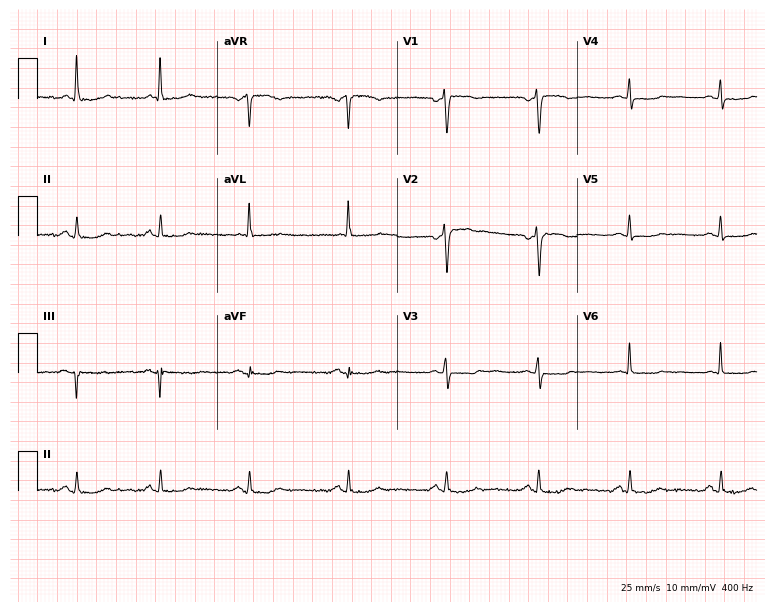
ECG (7.3-second recording at 400 Hz) — a woman, 58 years old. Screened for six findings — first-degree AV block, right bundle branch block, left bundle branch block, sinus bradycardia, atrial fibrillation, sinus tachycardia — none is recorded. Other findings, if any, are not listed.